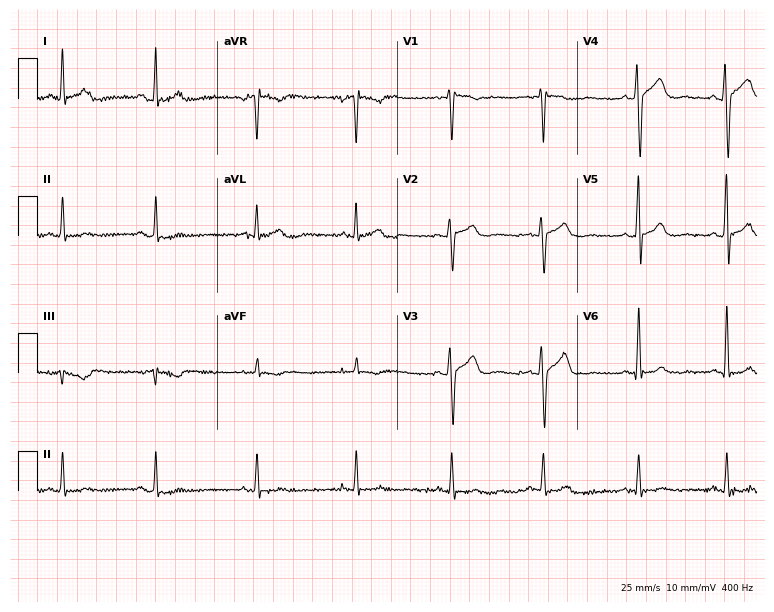
Standard 12-lead ECG recorded from a male, 32 years old (7.3-second recording at 400 Hz). None of these six findings is recorded: first-degree AV block, right bundle branch block, left bundle branch block, sinus bradycardia, atrial fibrillation, sinus tachycardia. Other findings, if any, are not listed.